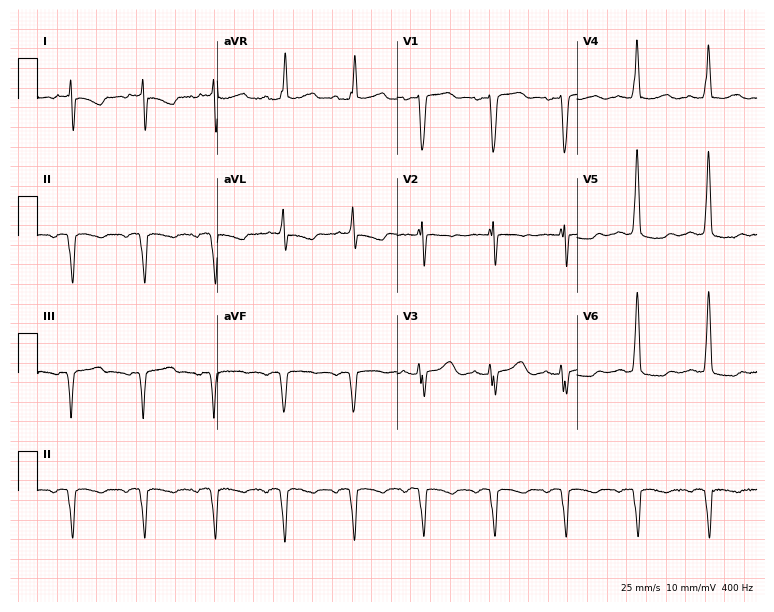
Resting 12-lead electrocardiogram. Patient: a woman, 71 years old. None of these six findings is recorded: first-degree AV block, right bundle branch block, left bundle branch block, sinus bradycardia, atrial fibrillation, sinus tachycardia. Only these six findings were labelled.